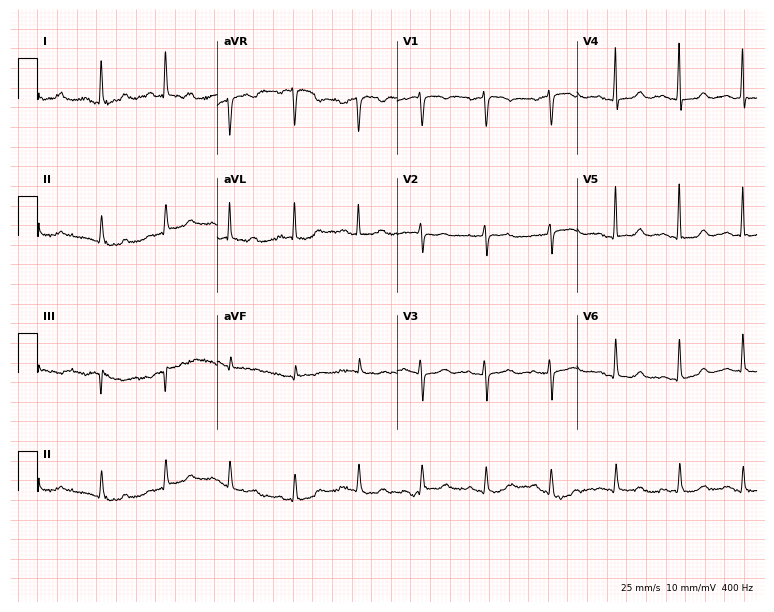
12-lead ECG from a female, 52 years old. Labelled as a normal ECG.